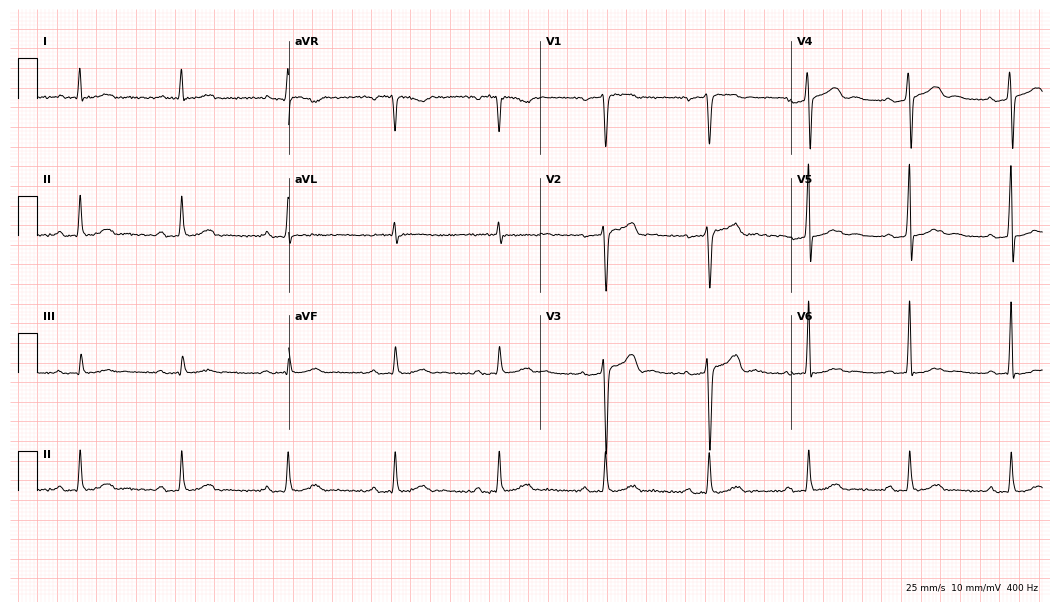
ECG (10.2-second recording at 400 Hz) — a 54-year-old male patient. Screened for six findings — first-degree AV block, right bundle branch block (RBBB), left bundle branch block (LBBB), sinus bradycardia, atrial fibrillation (AF), sinus tachycardia — none is recorded.